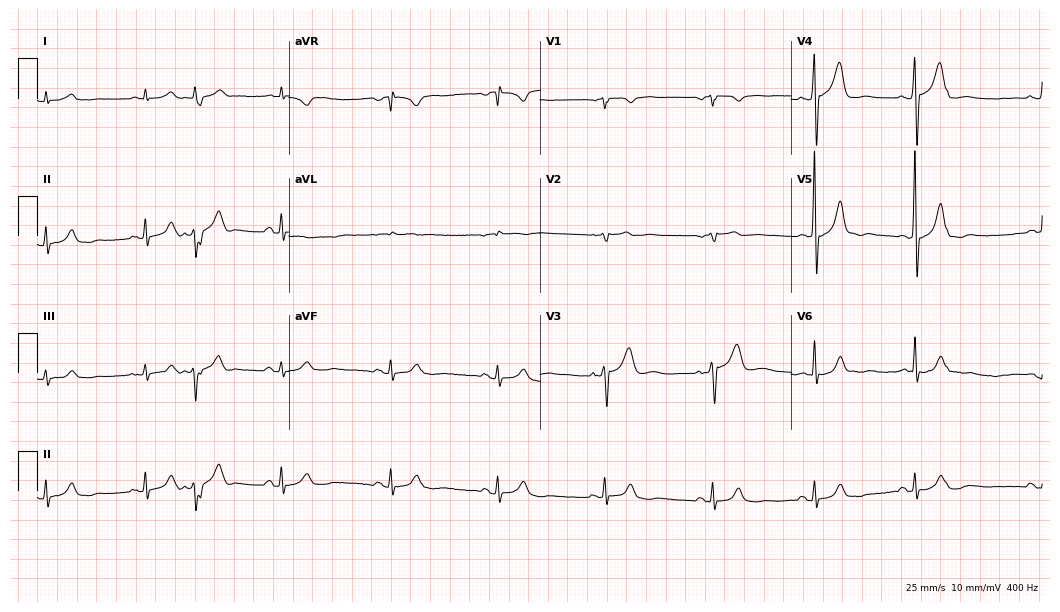
Standard 12-lead ECG recorded from a man, 81 years old (10.2-second recording at 400 Hz). Read as a normal ECG.